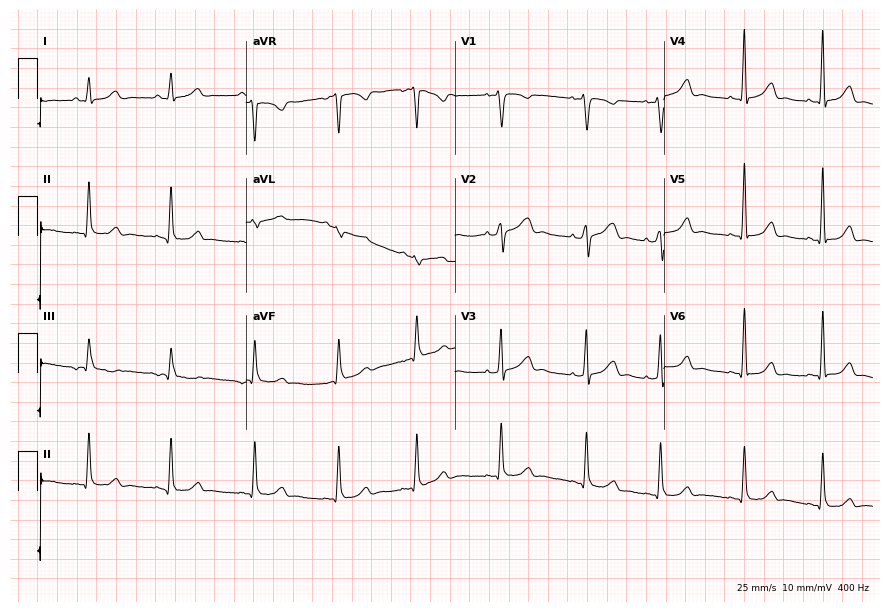
Resting 12-lead electrocardiogram (8.5-second recording at 400 Hz). Patient: a 19-year-old woman. None of these six findings is recorded: first-degree AV block, right bundle branch block, left bundle branch block, sinus bradycardia, atrial fibrillation, sinus tachycardia. Only these six findings were labelled.